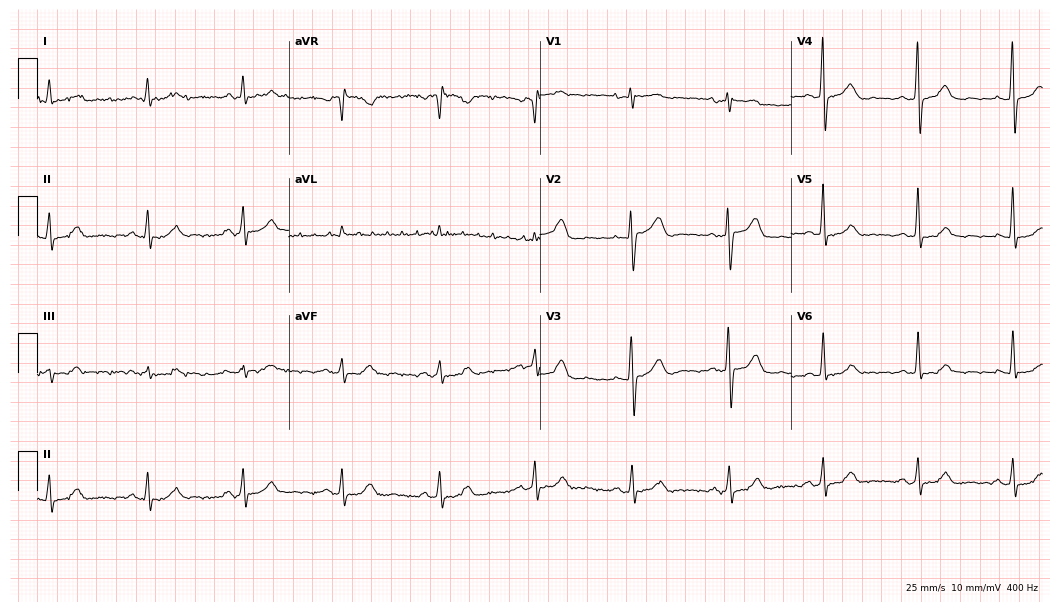
Electrocardiogram (10.2-second recording at 400 Hz), a female, 63 years old. Overall reading on record: normal ECG.